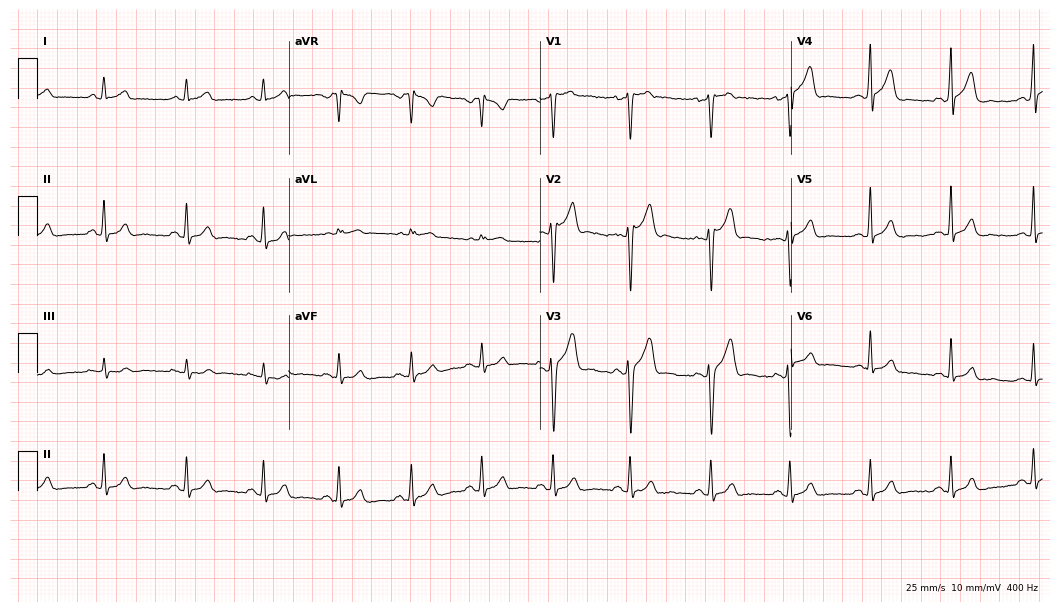
Standard 12-lead ECG recorded from a 23-year-old man (10.2-second recording at 400 Hz). None of these six findings is recorded: first-degree AV block, right bundle branch block, left bundle branch block, sinus bradycardia, atrial fibrillation, sinus tachycardia. Findings outside these six are not listed.